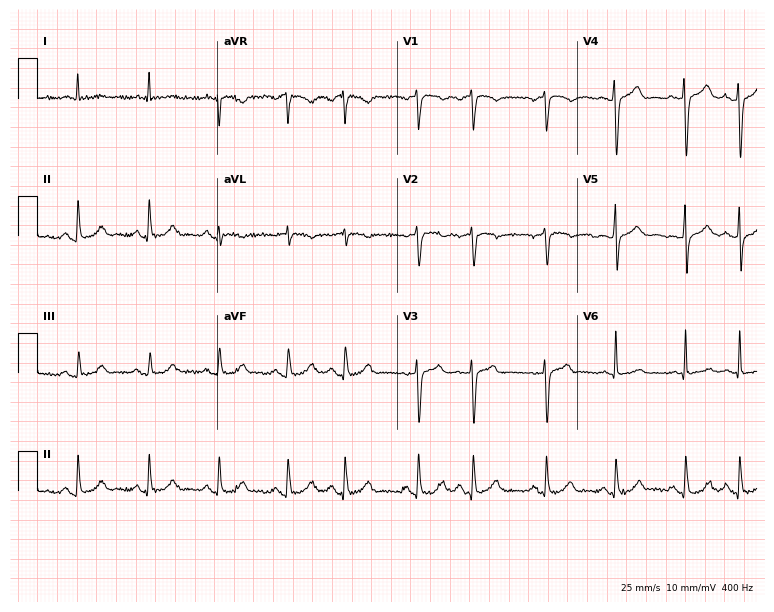
Electrocardiogram, a 69-year-old male. Of the six screened findings (first-degree AV block, right bundle branch block, left bundle branch block, sinus bradycardia, atrial fibrillation, sinus tachycardia), none is recorded.